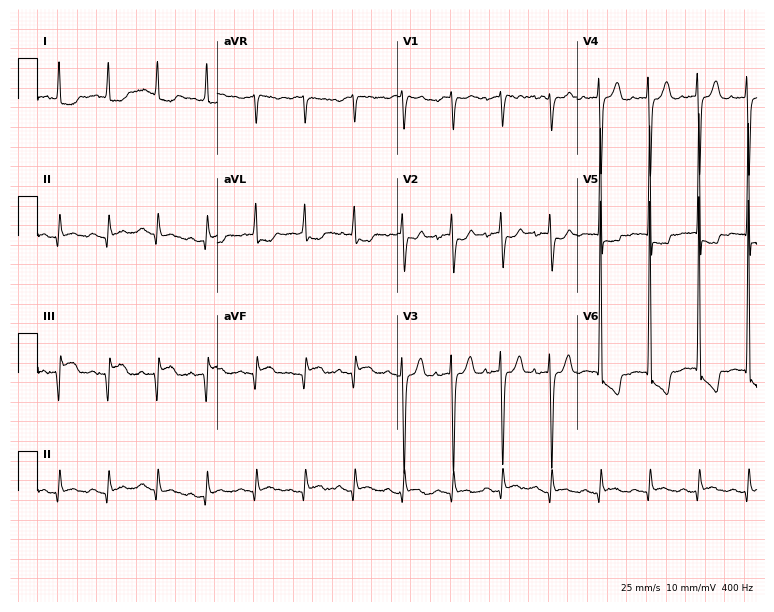
Resting 12-lead electrocardiogram (7.3-second recording at 400 Hz). Patient: a 78-year-old man. The tracing shows sinus tachycardia (a sinus rate of 100 beats per minute or more).